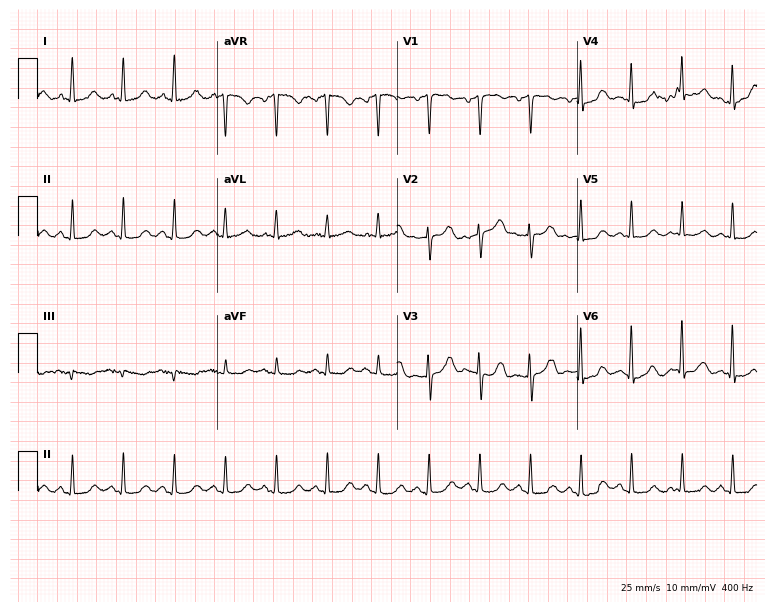
Standard 12-lead ECG recorded from a 67-year-old female. The tracing shows sinus tachycardia (a sinus rate of 100 beats per minute or more).